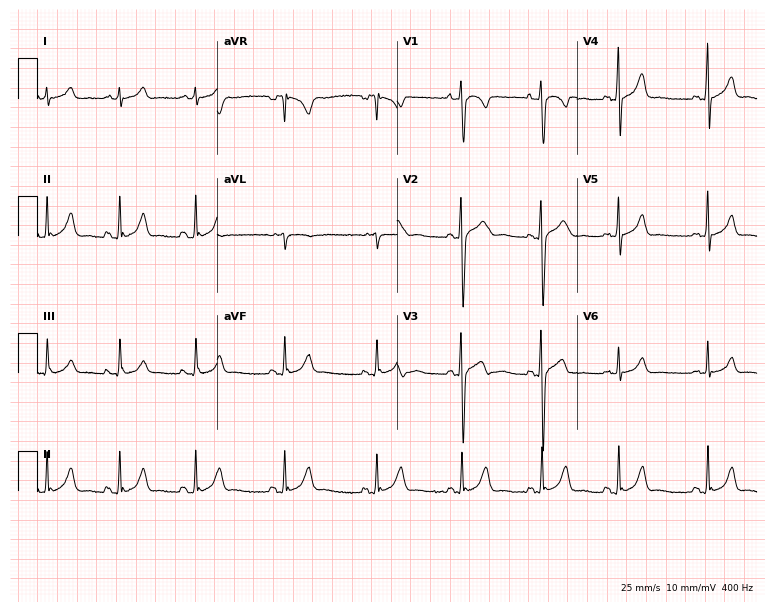
12-lead ECG from a male patient, 17 years old. Recorded interpretation: within normal limits.